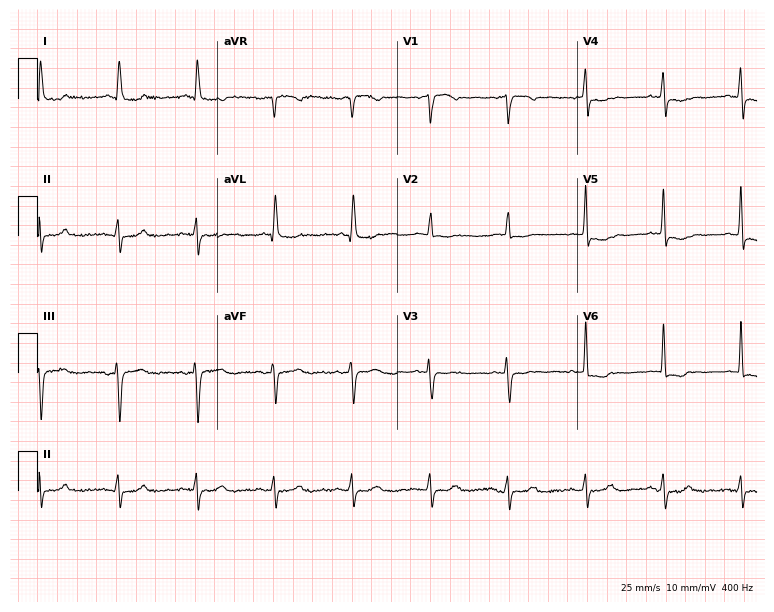
Electrocardiogram, a 68-year-old female. Of the six screened findings (first-degree AV block, right bundle branch block, left bundle branch block, sinus bradycardia, atrial fibrillation, sinus tachycardia), none is recorded. Findings outside these six are not listed.